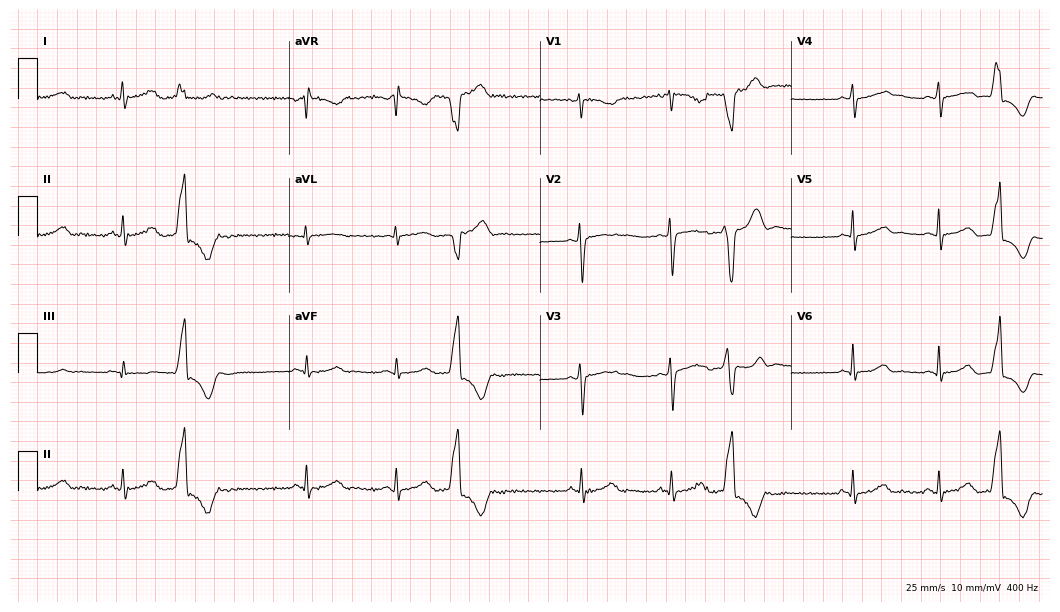
12-lead ECG from a 26-year-old female patient. Screened for six findings — first-degree AV block, right bundle branch block, left bundle branch block, sinus bradycardia, atrial fibrillation, sinus tachycardia — none is recorded.